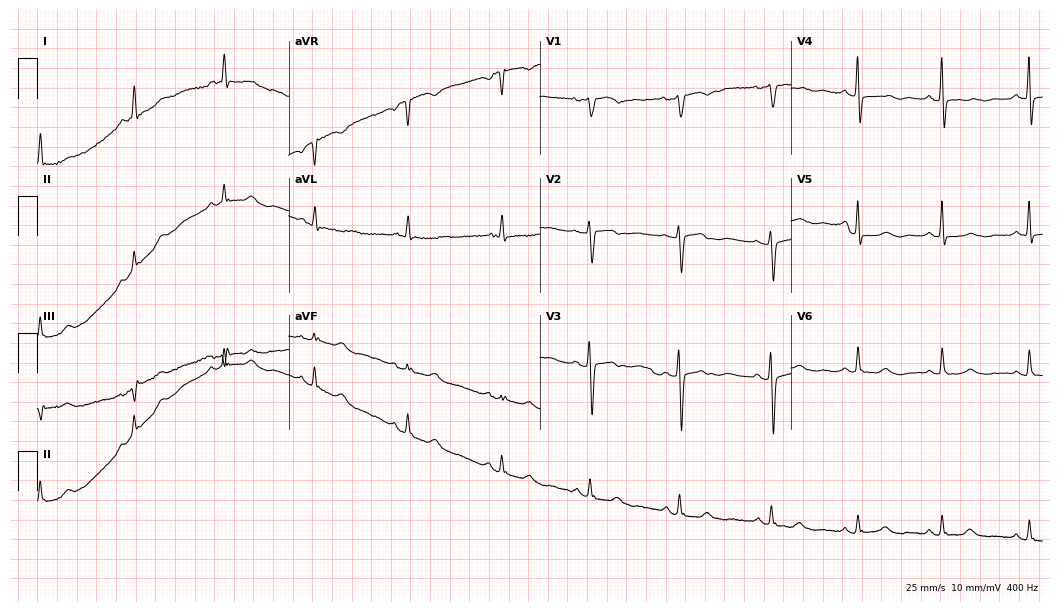
Electrocardiogram (10.2-second recording at 400 Hz), a 55-year-old female. Of the six screened findings (first-degree AV block, right bundle branch block, left bundle branch block, sinus bradycardia, atrial fibrillation, sinus tachycardia), none is recorded.